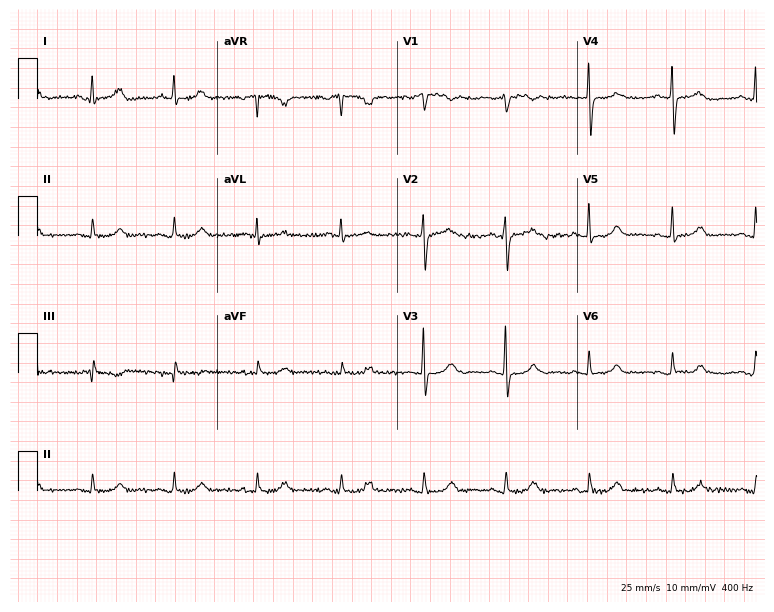
Electrocardiogram (7.3-second recording at 400 Hz), a woman, 71 years old. Of the six screened findings (first-degree AV block, right bundle branch block, left bundle branch block, sinus bradycardia, atrial fibrillation, sinus tachycardia), none is recorded.